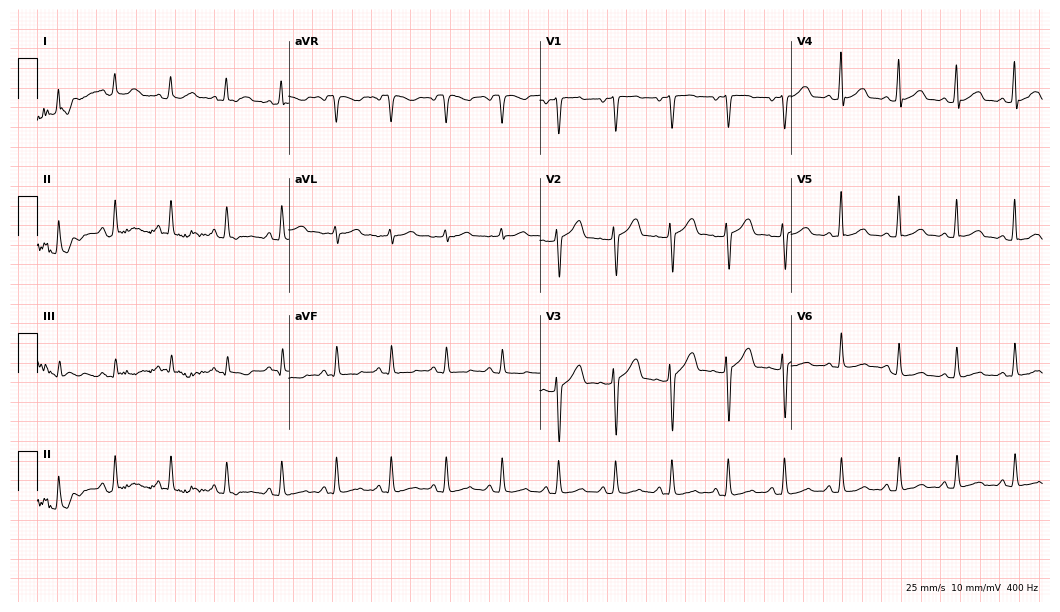
12-lead ECG from a woman, 54 years old. Screened for six findings — first-degree AV block, right bundle branch block, left bundle branch block, sinus bradycardia, atrial fibrillation, sinus tachycardia — none is recorded. Only these six findings were labelled.